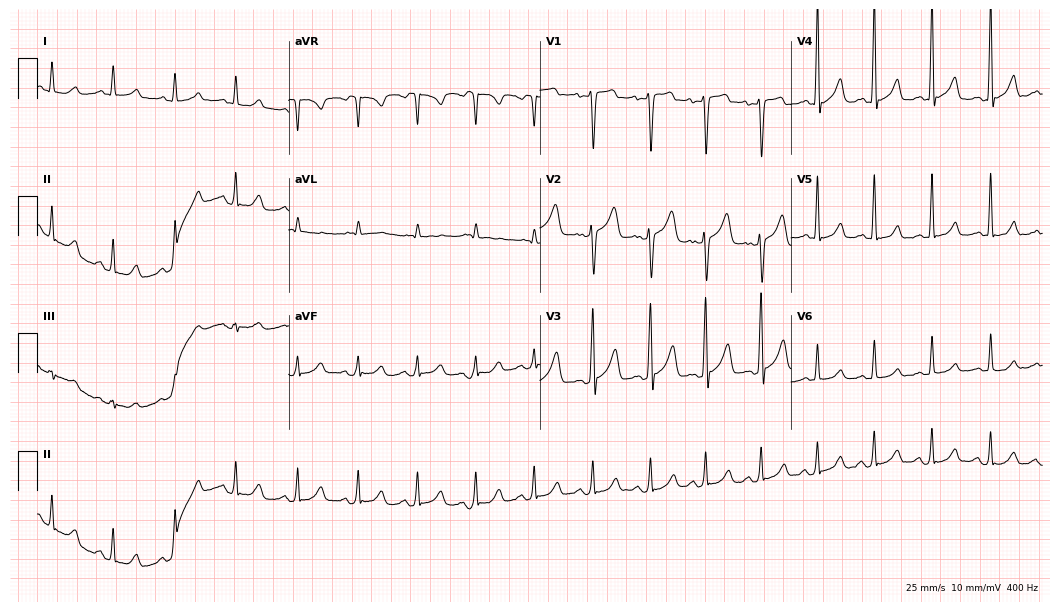
12-lead ECG (10.2-second recording at 400 Hz) from a 43-year-old male patient. Screened for six findings — first-degree AV block, right bundle branch block, left bundle branch block, sinus bradycardia, atrial fibrillation, sinus tachycardia — none is recorded. Only these six findings were labelled.